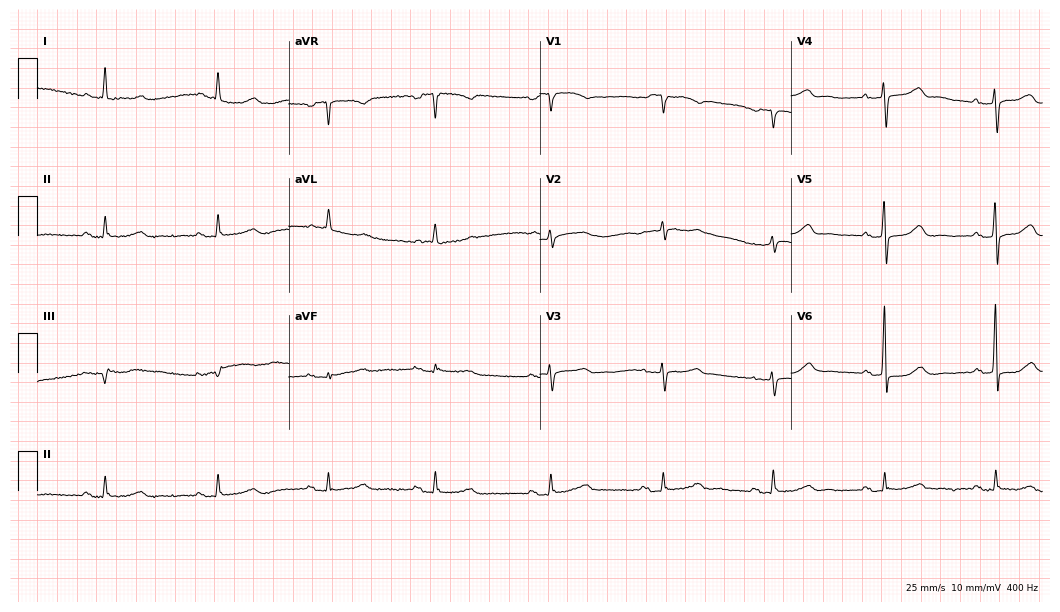
Electrocardiogram, a female patient, 81 years old. Overall reading on record: normal ECG.